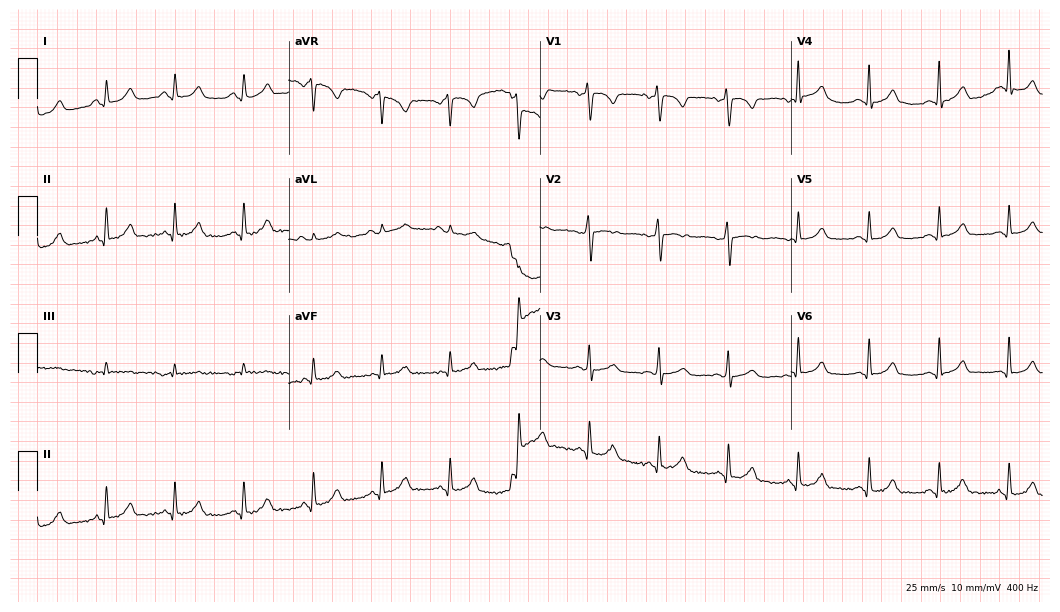
ECG — a female patient, 44 years old. Labelled as a normal ECG.